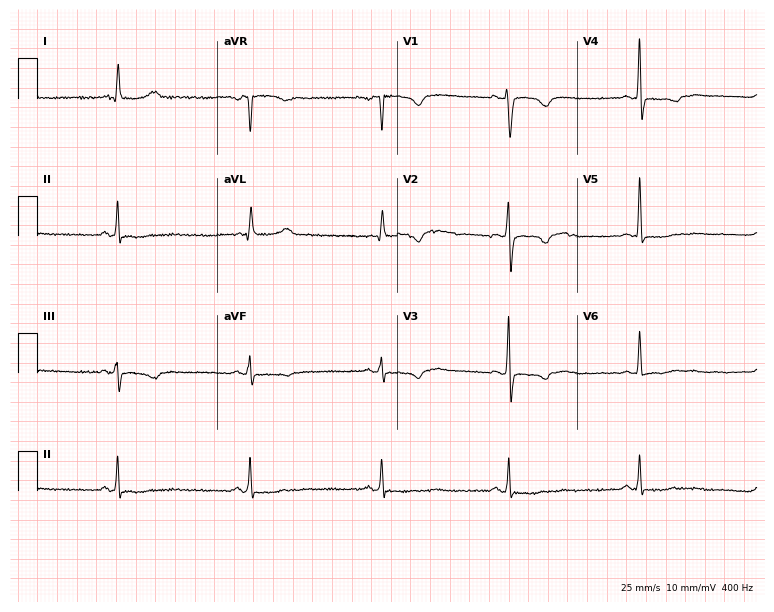
Resting 12-lead electrocardiogram. Patient: a female, 57 years old. The tracing shows sinus bradycardia (a sinus rate of 50 beats per minute or less).